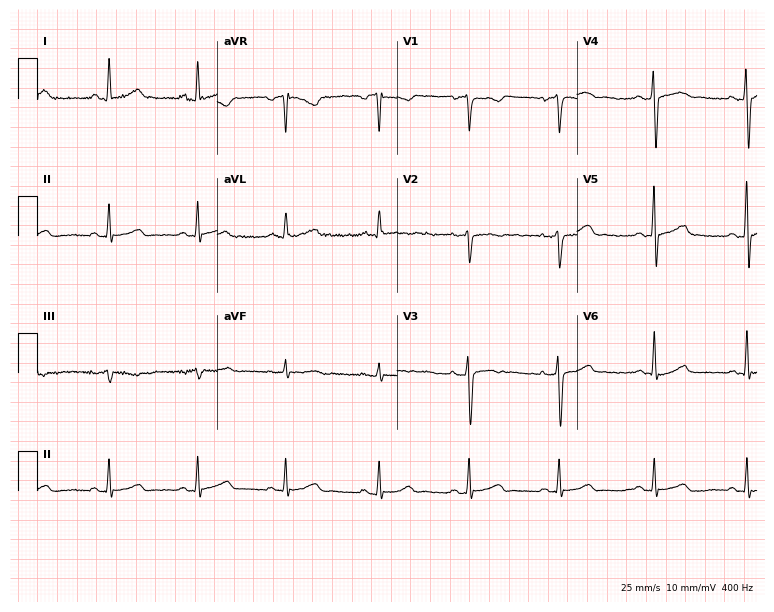
12-lead ECG from a 45-year-old female. Screened for six findings — first-degree AV block, right bundle branch block, left bundle branch block, sinus bradycardia, atrial fibrillation, sinus tachycardia — none is recorded.